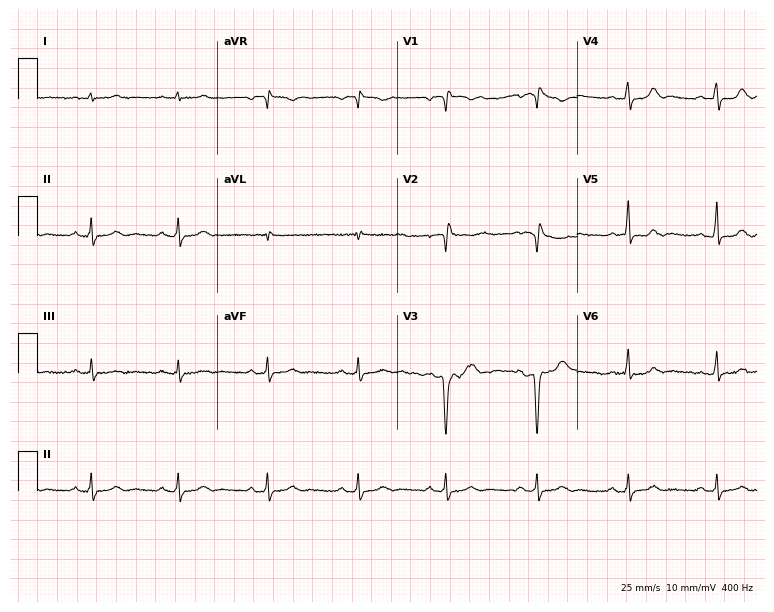
Electrocardiogram, a 38-year-old female patient. Of the six screened findings (first-degree AV block, right bundle branch block, left bundle branch block, sinus bradycardia, atrial fibrillation, sinus tachycardia), none is recorded. Findings outside these six are not listed.